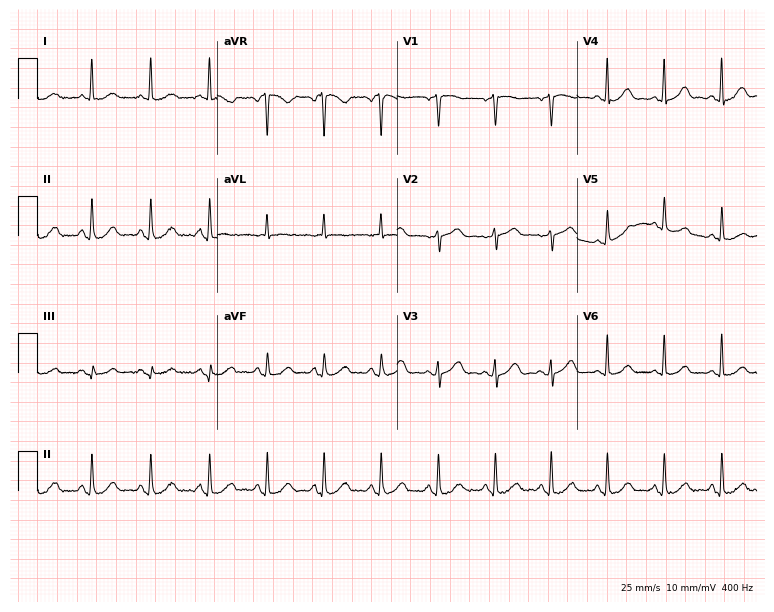
Standard 12-lead ECG recorded from a female patient, 72 years old (7.3-second recording at 400 Hz). The tracing shows sinus tachycardia (a sinus rate of 100 beats per minute or more).